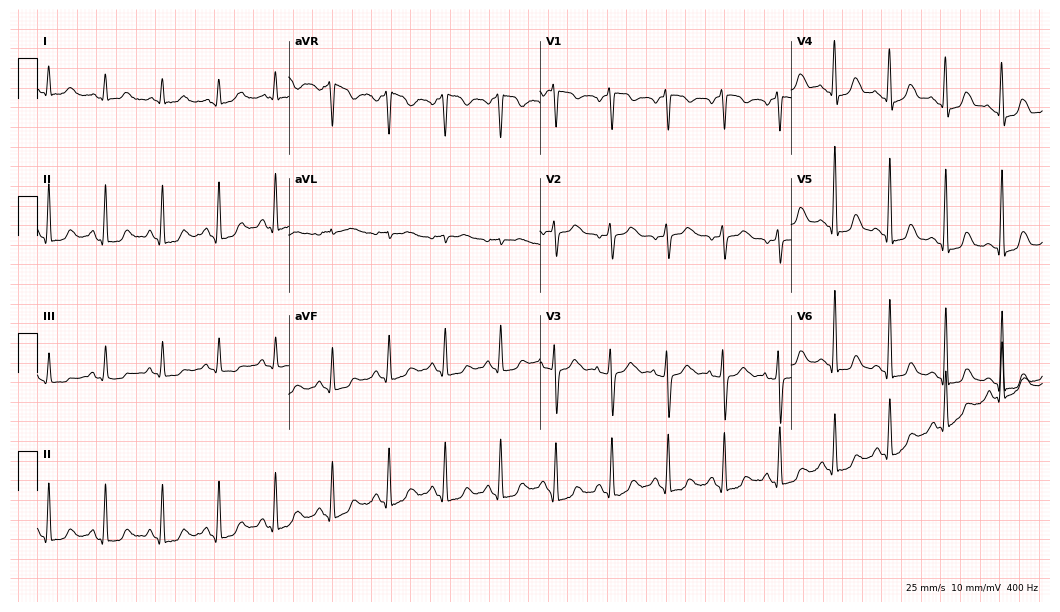
Resting 12-lead electrocardiogram (10.2-second recording at 400 Hz). Patient: a female, 76 years old. The tracing shows sinus tachycardia (a sinus rate of 100 beats per minute or more).